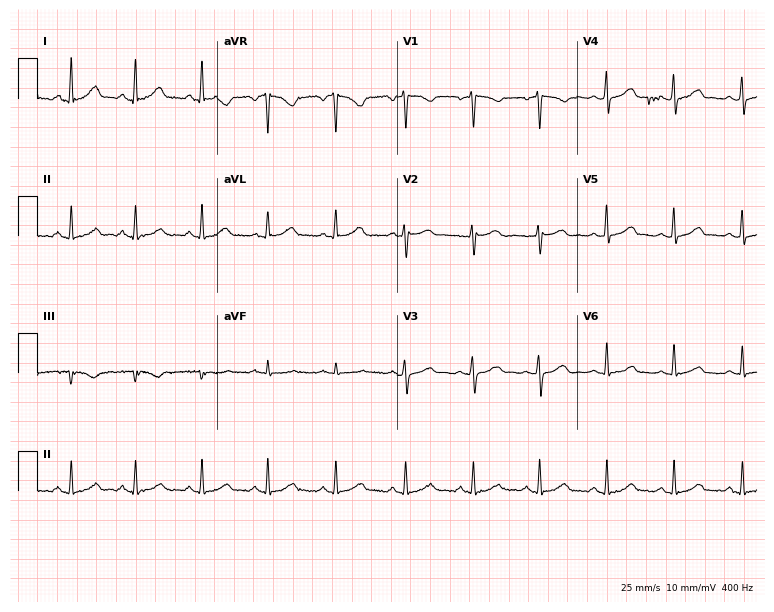
Electrocardiogram (7.3-second recording at 400 Hz), a woman, 40 years old. Overall reading on record: normal ECG.